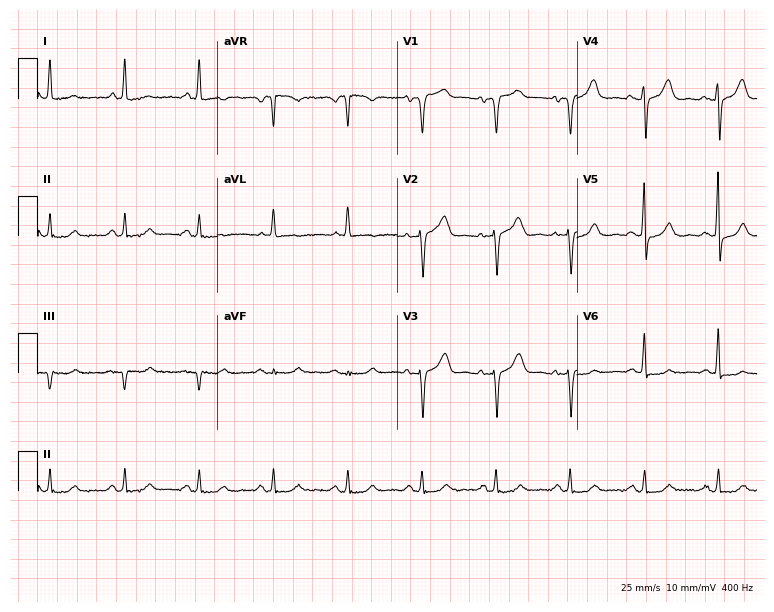
Resting 12-lead electrocardiogram (7.3-second recording at 400 Hz). Patient: a female, 68 years old. Read as a normal ECG.